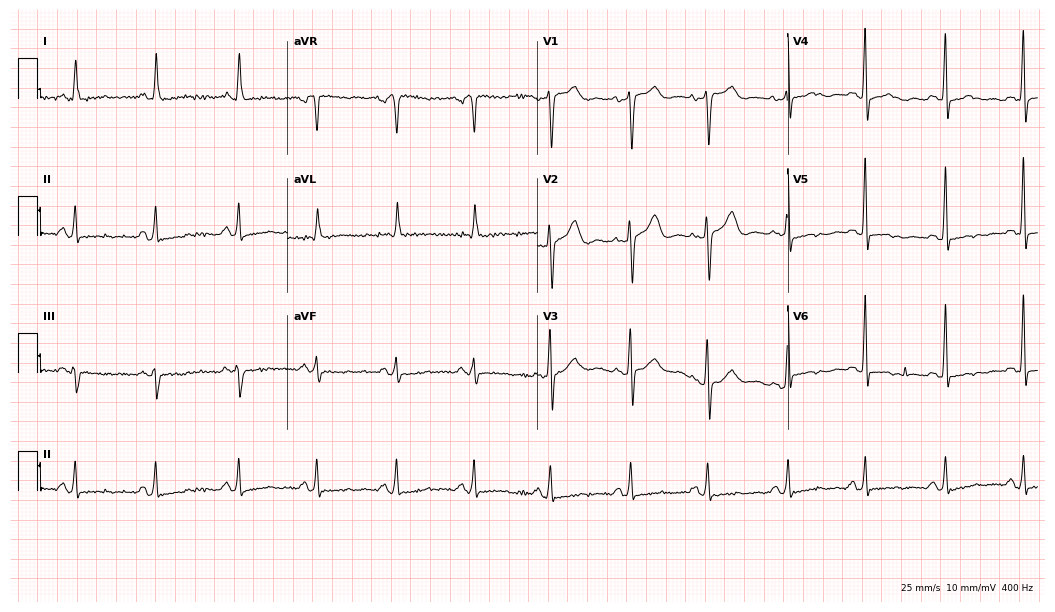
12-lead ECG from a female, 67 years old. No first-degree AV block, right bundle branch block, left bundle branch block, sinus bradycardia, atrial fibrillation or sinus tachycardia recorded for this tracing.